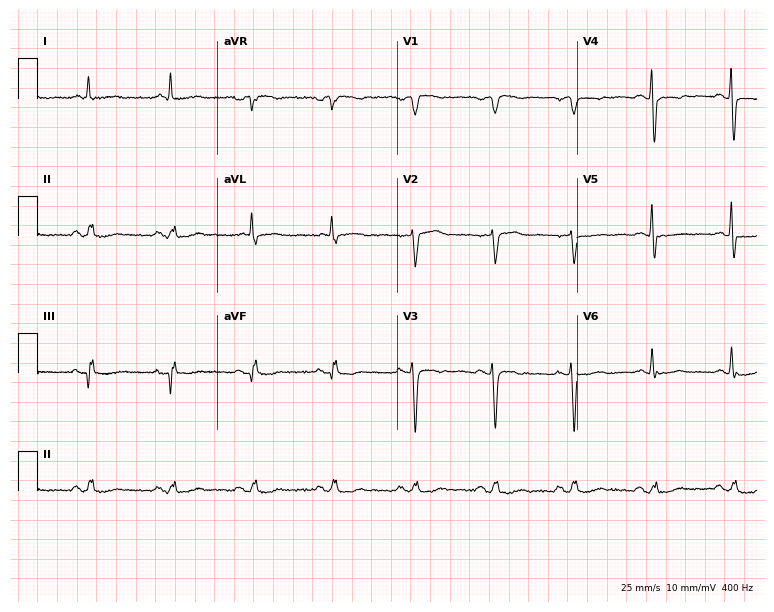
12-lead ECG (7.3-second recording at 400 Hz) from a 70-year-old female patient. Screened for six findings — first-degree AV block, right bundle branch block (RBBB), left bundle branch block (LBBB), sinus bradycardia, atrial fibrillation (AF), sinus tachycardia — none is recorded. Only these six findings were labelled.